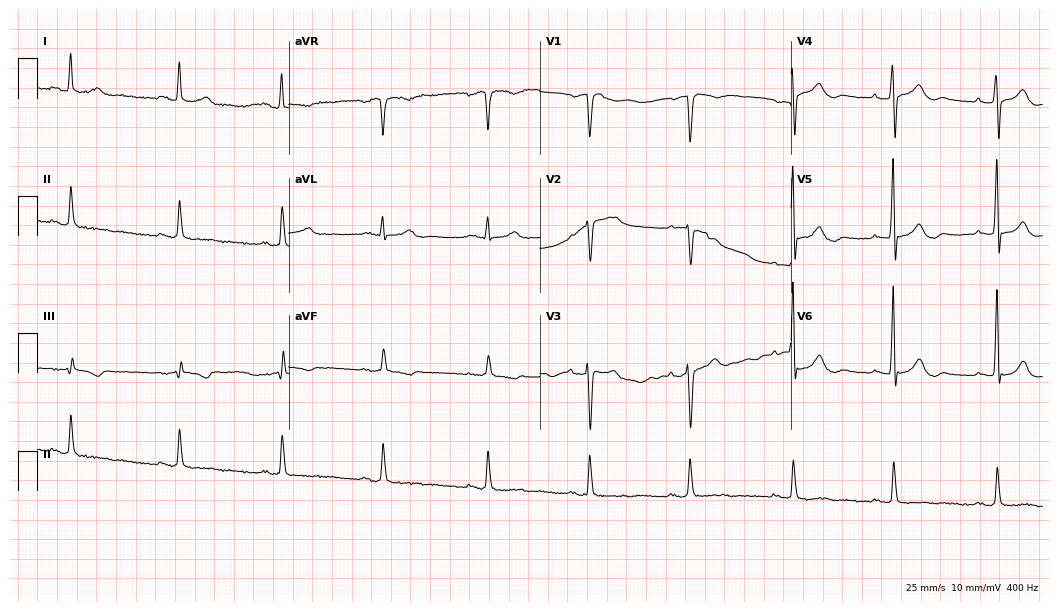
12-lead ECG from a 70-year-old man. Screened for six findings — first-degree AV block, right bundle branch block, left bundle branch block, sinus bradycardia, atrial fibrillation, sinus tachycardia — none is recorded.